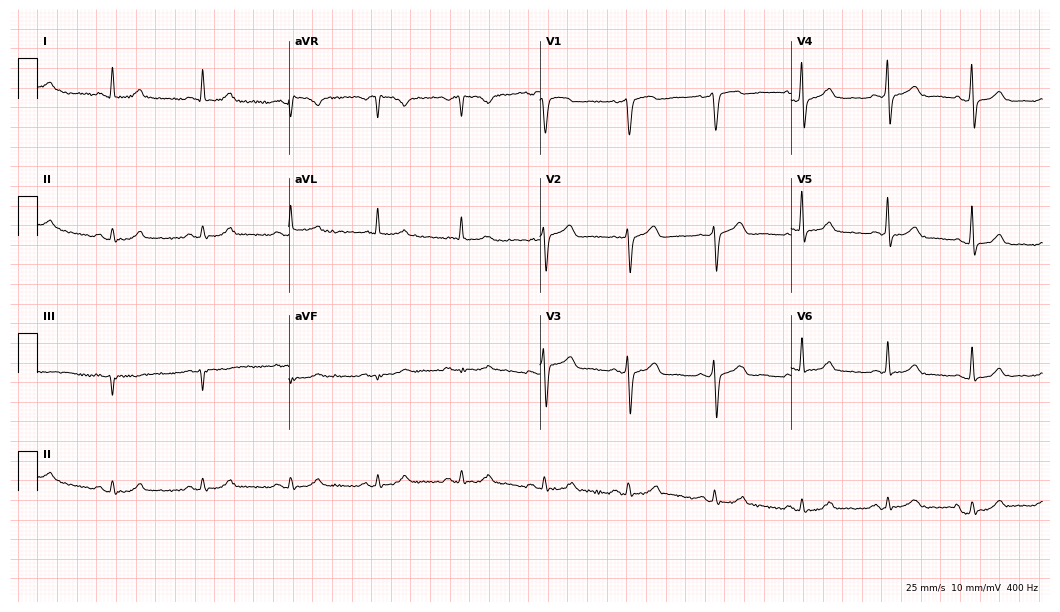
12-lead ECG (10.2-second recording at 400 Hz) from a man, 58 years old. Labelled as a normal ECG.